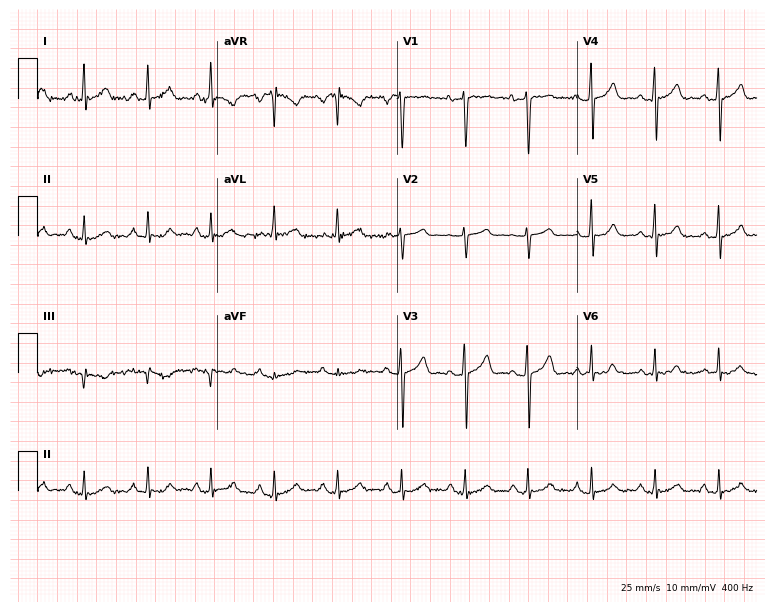
12-lead ECG from a male, 62 years old. Recorded interpretation: within normal limits.